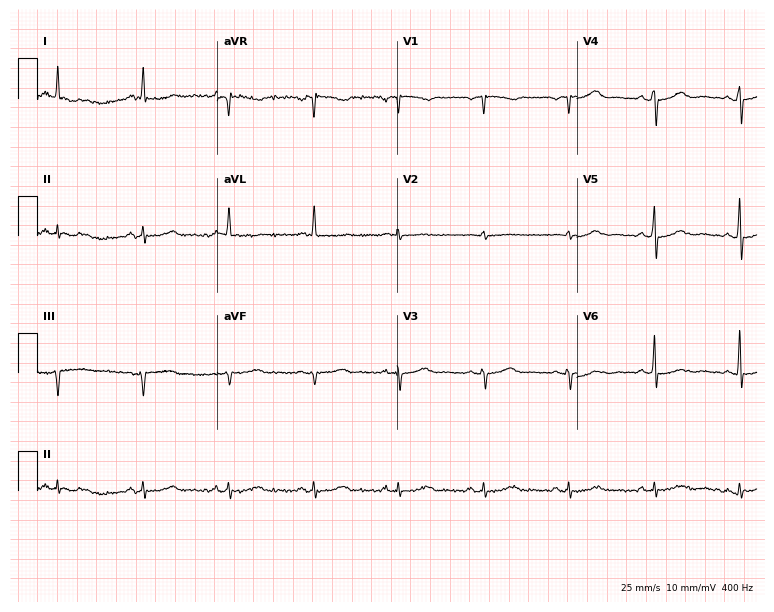
12-lead ECG (7.3-second recording at 400 Hz) from a female patient, 47 years old. Screened for six findings — first-degree AV block, right bundle branch block, left bundle branch block, sinus bradycardia, atrial fibrillation, sinus tachycardia — none is recorded. Findings outside these six are not listed.